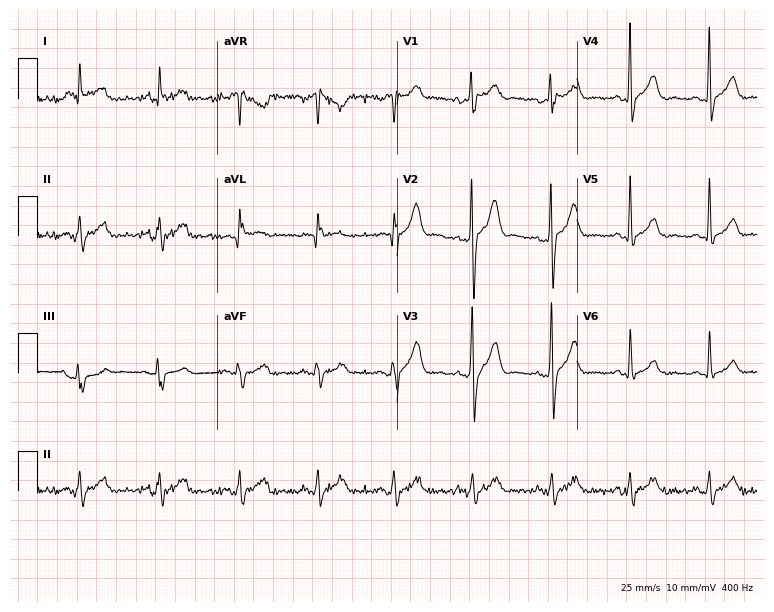
Standard 12-lead ECG recorded from a 32-year-old male (7.3-second recording at 400 Hz). None of these six findings is recorded: first-degree AV block, right bundle branch block, left bundle branch block, sinus bradycardia, atrial fibrillation, sinus tachycardia. Findings outside these six are not listed.